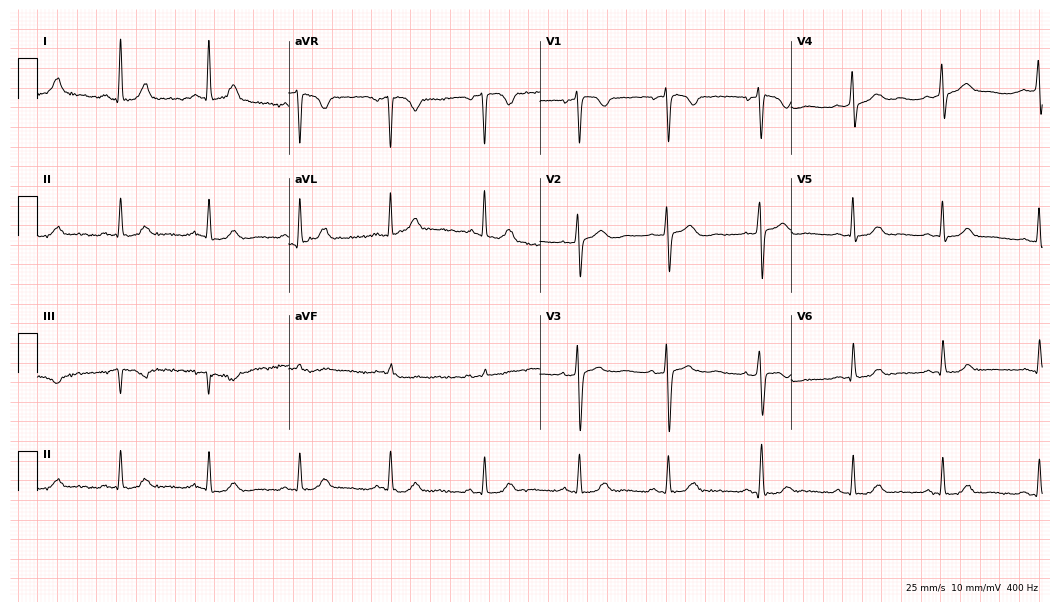
ECG (10.2-second recording at 400 Hz) — a 44-year-old woman. Labelled as a normal ECG.